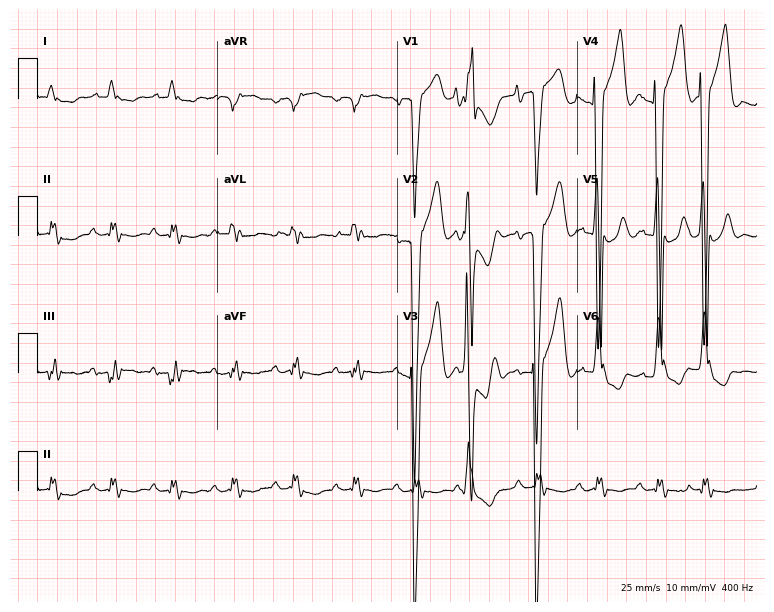
Electrocardiogram (7.3-second recording at 400 Hz), a male, 74 years old. Of the six screened findings (first-degree AV block, right bundle branch block (RBBB), left bundle branch block (LBBB), sinus bradycardia, atrial fibrillation (AF), sinus tachycardia), none is recorded. Only these six findings were labelled.